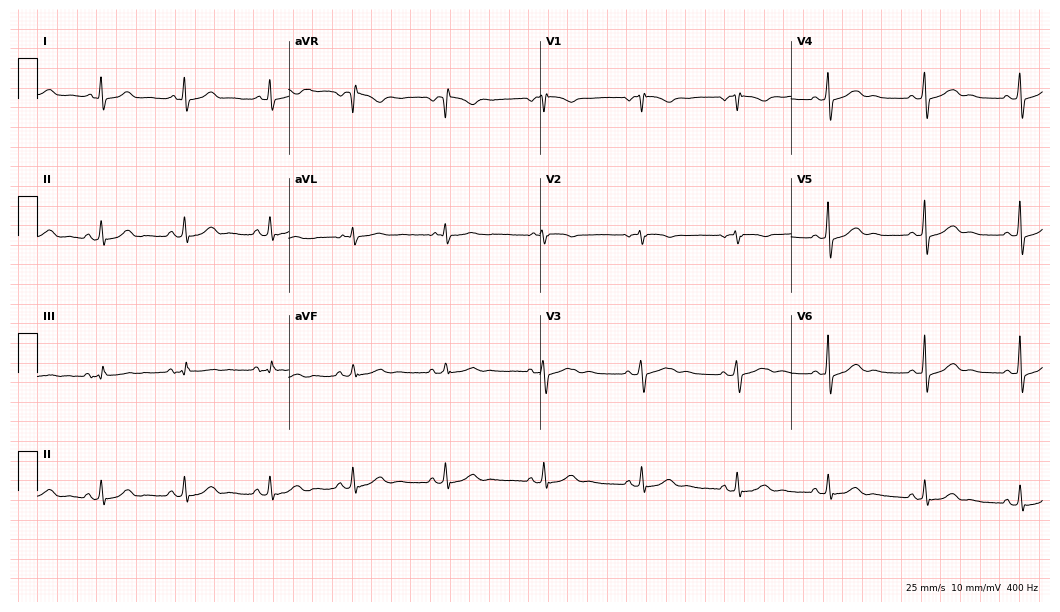
12-lead ECG (10.2-second recording at 400 Hz) from a 32-year-old female. Screened for six findings — first-degree AV block, right bundle branch block, left bundle branch block, sinus bradycardia, atrial fibrillation, sinus tachycardia — none is recorded.